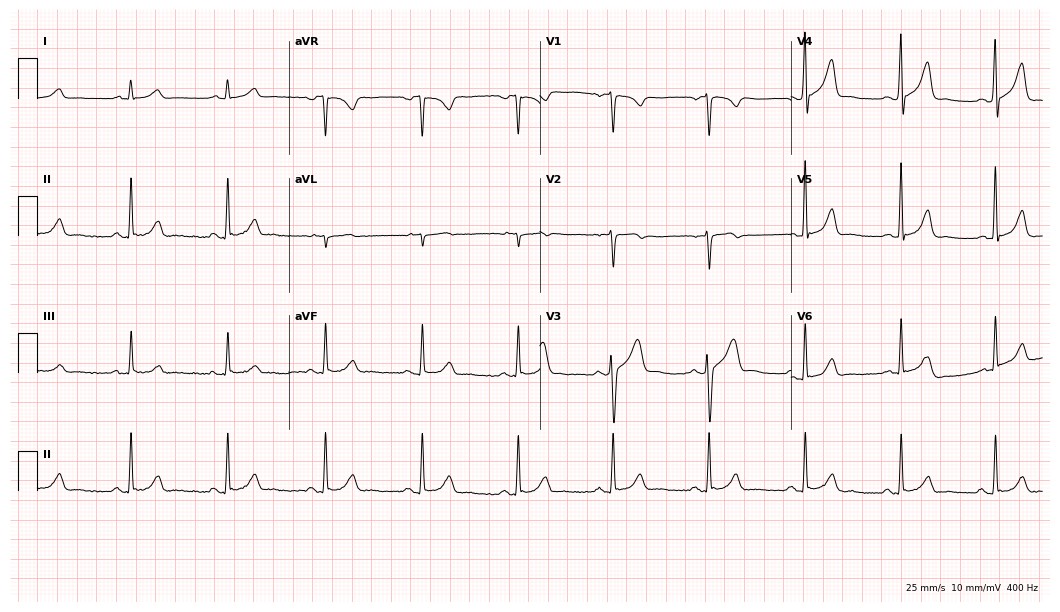
ECG (10.2-second recording at 400 Hz) — a man, 46 years old. Screened for six findings — first-degree AV block, right bundle branch block, left bundle branch block, sinus bradycardia, atrial fibrillation, sinus tachycardia — none is recorded. Findings outside these six are not listed.